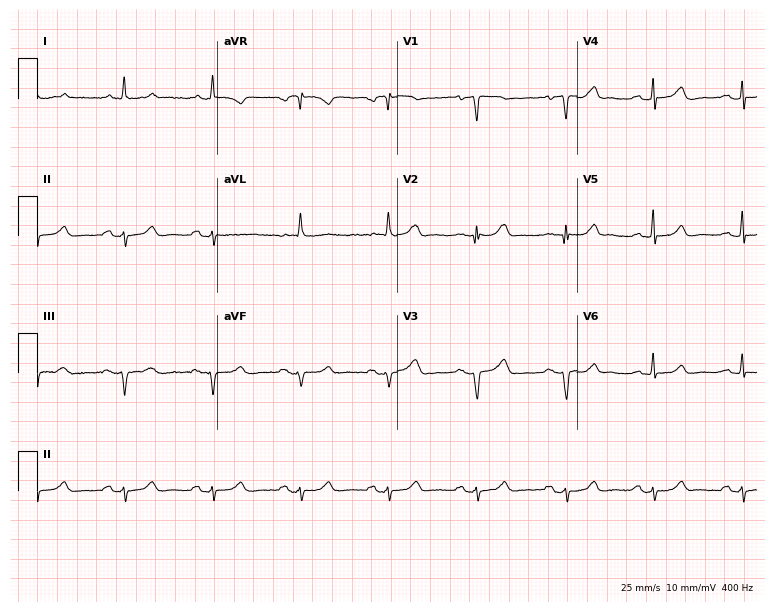
Standard 12-lead ECG recorded from a 77-year-old female (7.3-second recording at 400 Hz). None of these six findings is recorded: first-degree AV block, right bundle branch block, left bundle branch block, sinus bradycardia, atrial fibrillation, sinus tachycardia.